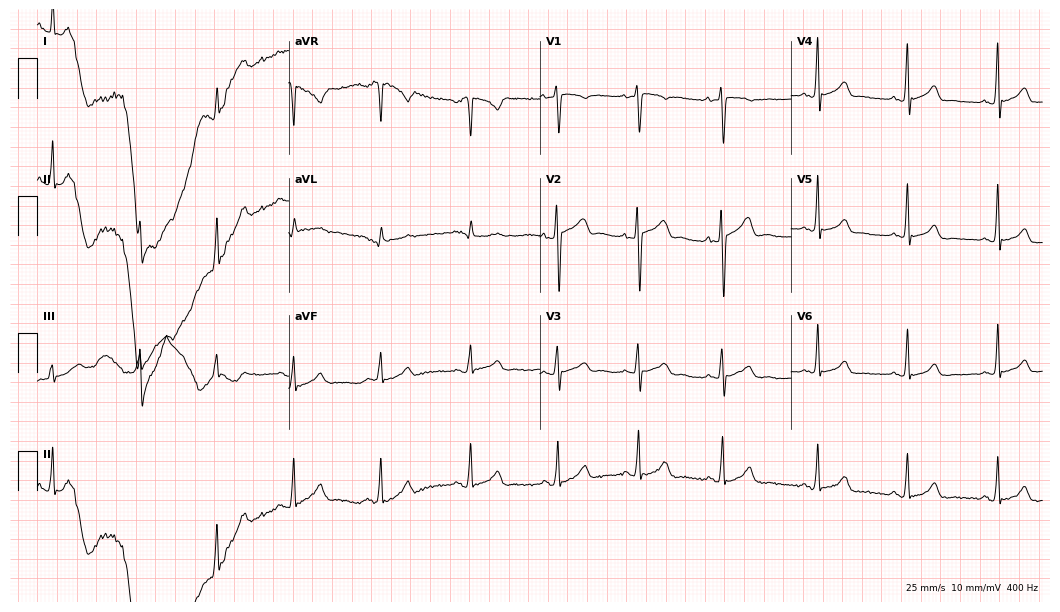
12-lead ECG from a female patient, 21 years old. Recorded interpretation: within normal limits.